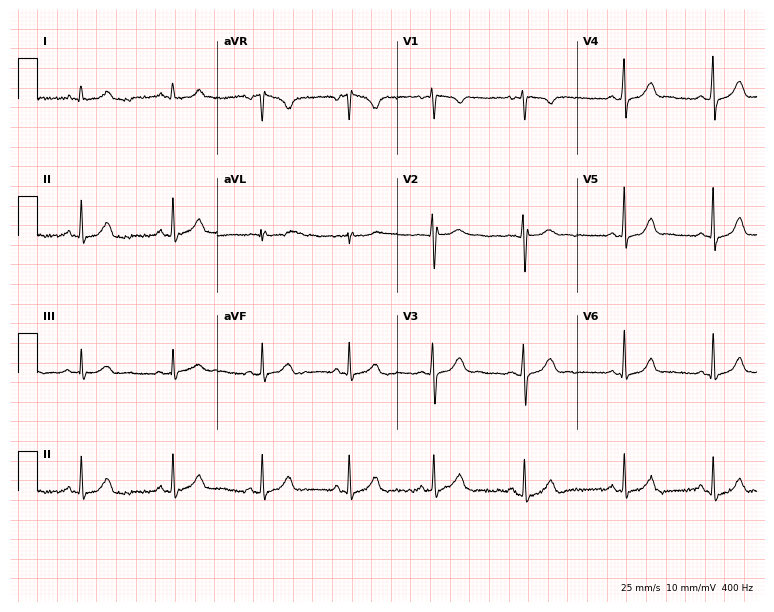
12-lead ECG (7.3-second recording at 400 Hz) from a 27-year-old female. Screened for six findings — first-degree AV block, right bundle branch block, left bundle branch block, sinus bradycardia, atrial fibrillation, sinus tachycardia — none is recorded.